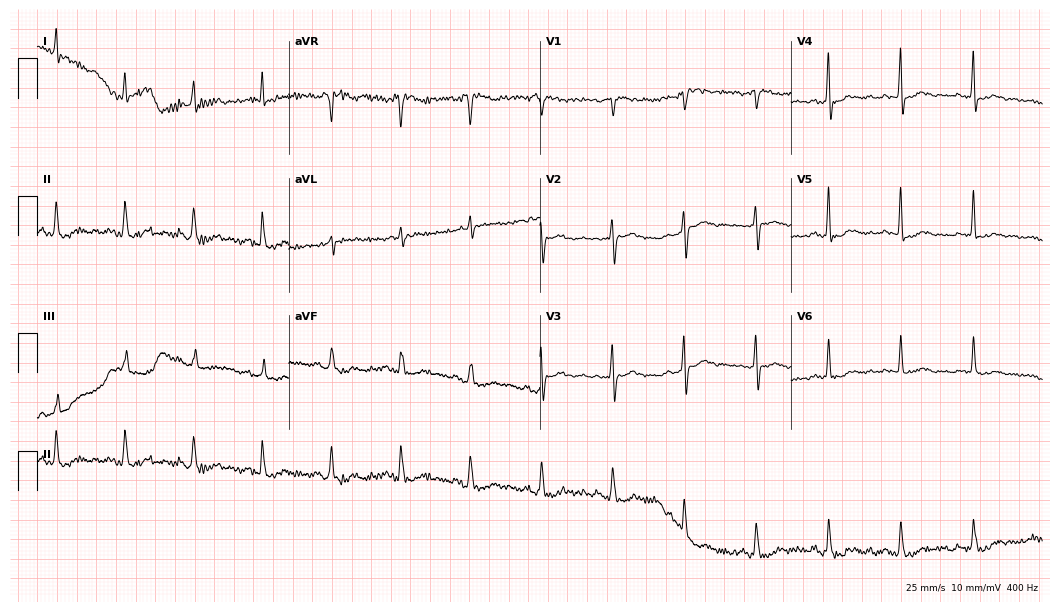
ECG (10.2-second recording at 400 Hz) — a male patient, 64 years old. Screened for six findings — first-degree AV block, right bundle branch block, left bundle branch block, sinus bradycardia, atrial fibrillation, sinus tachycardia — none is recorded. Other findings, if any, are not listed.